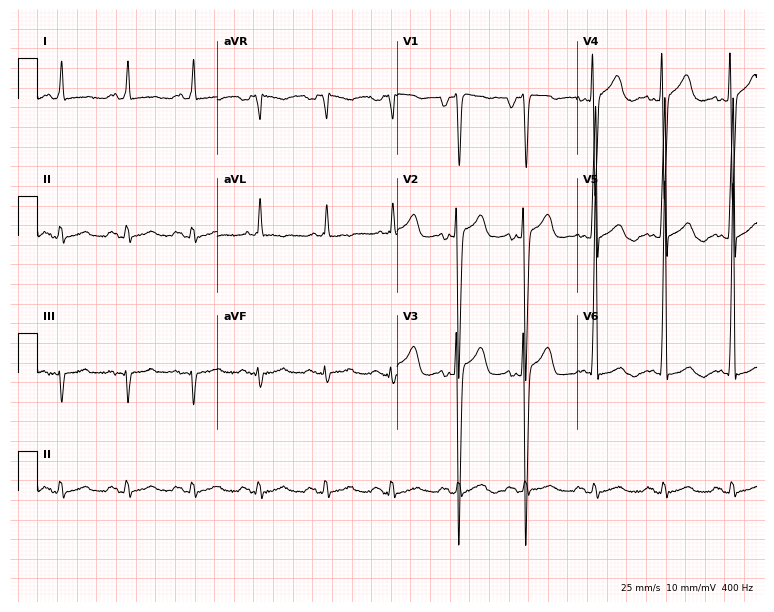
ECG — a man, 53 years old. Screened for six findings — first-degree AV block, right bundle branch block (RBBB), left bundle branch block (LBBB), sinus bradycardia, atrial fibrillation (AF), sinus tachycardia — none is recorded. Other findings, if any, are not listed.